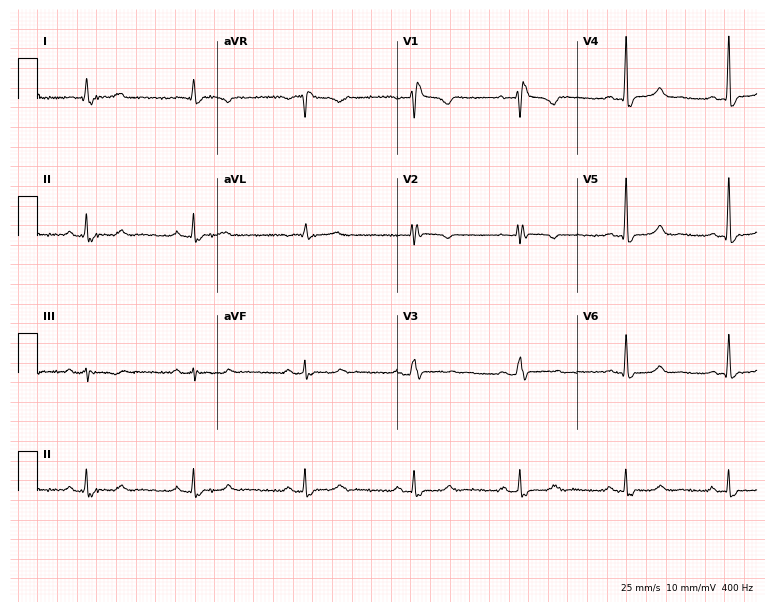
Standard 12-lead ECG recorded from a 56-year-old woman (7.3-second recording at 400 Hz). The tracing shows right bundle branch block (RBBB).